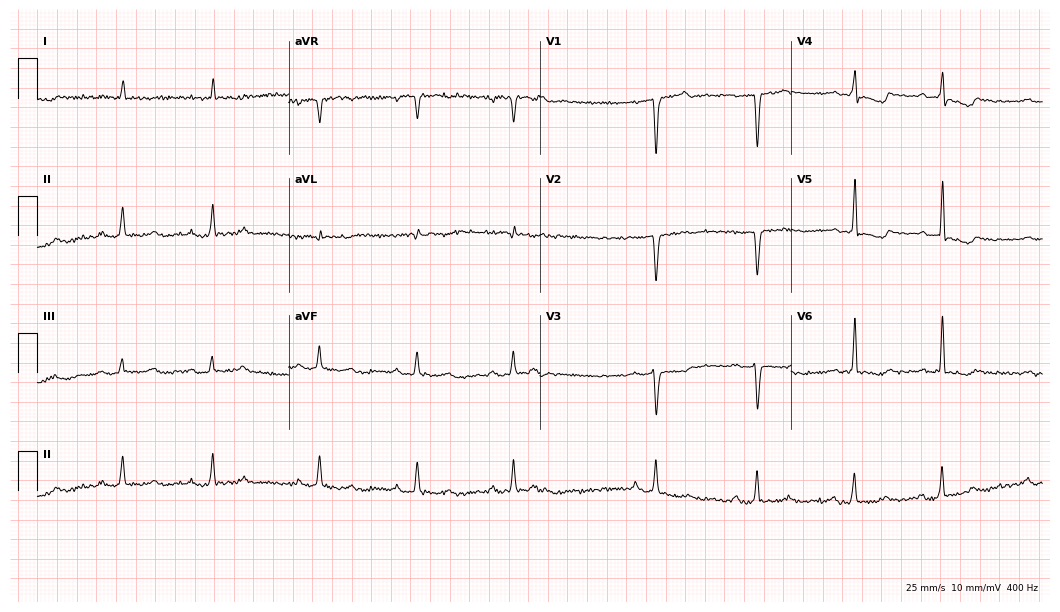
ECG — a man, 79 years old. Findings include first-degree AV block.